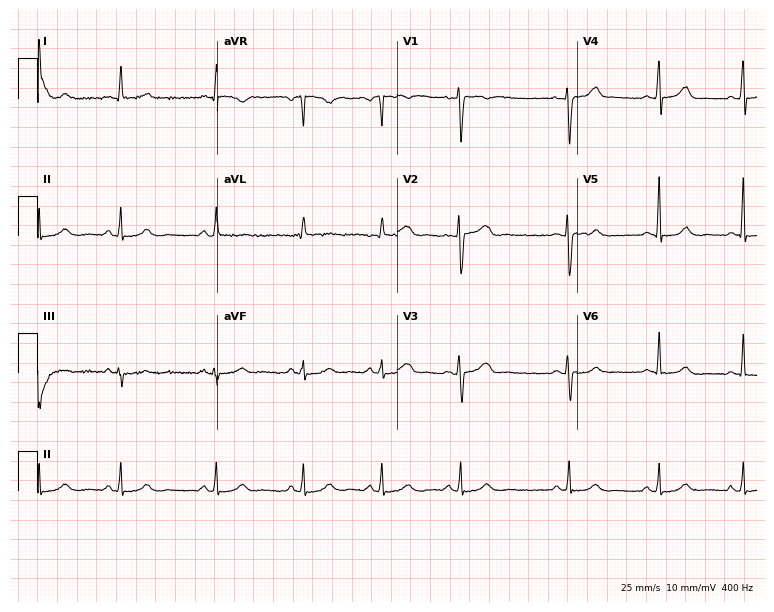
12-lead ECG (7.3-second recording at 400 Hz) from a woman, 42 years old. Labelled as a normal ECG.